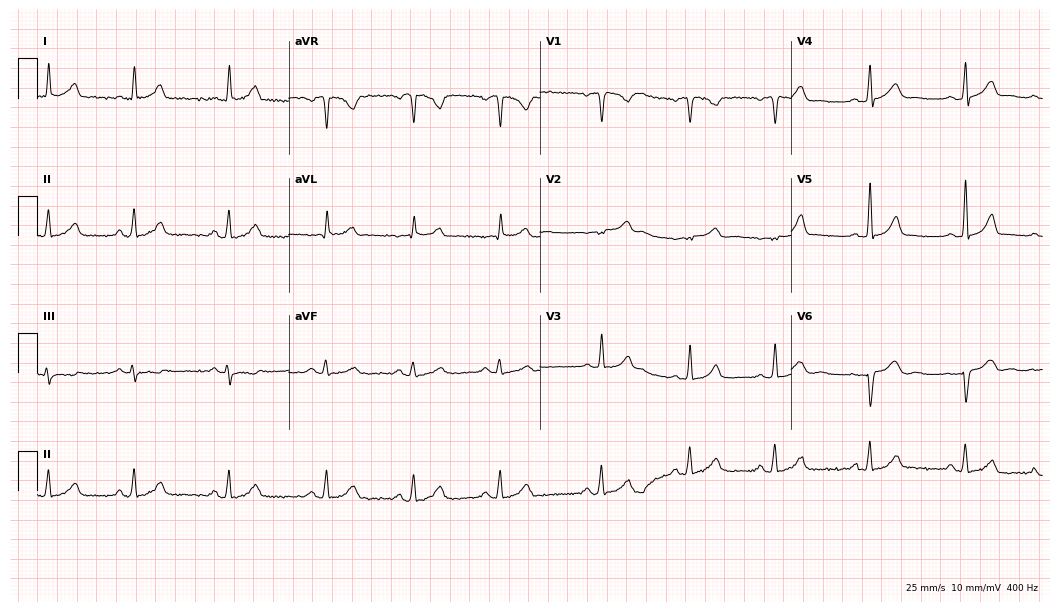
12-lead ECG from a 41-year-old woman. Labelled as a normal ECG.